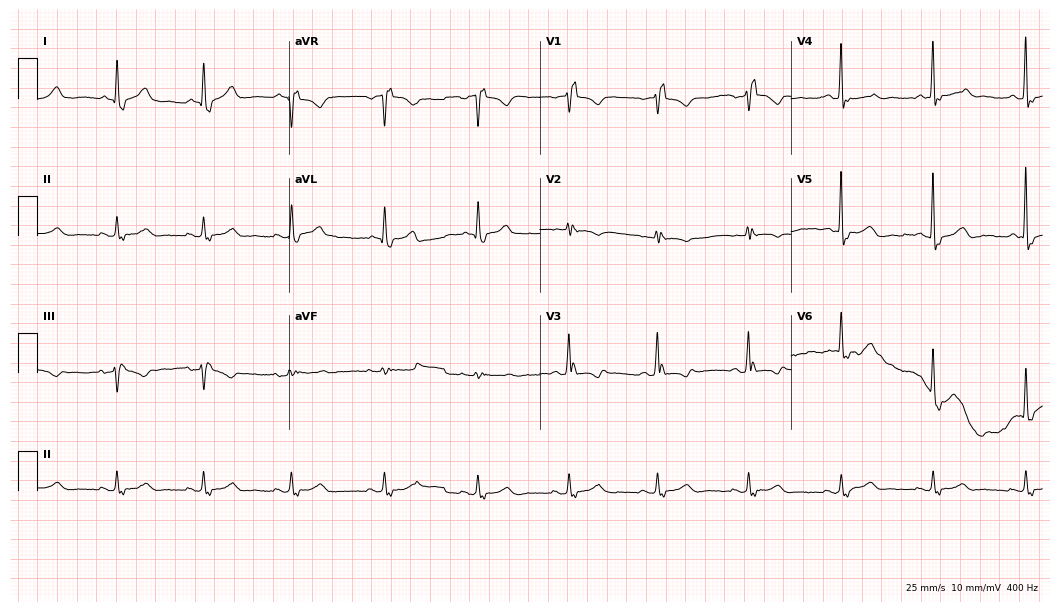
ECG (10.2-second recording at 400 Hz) — a woman, 64 years old. Screened for six findings — first-degree AV block, right bundle branch block, left bundle branch block, sinus bradycardia, atrial fibrillation, sinus tachycardia — none is recorded.